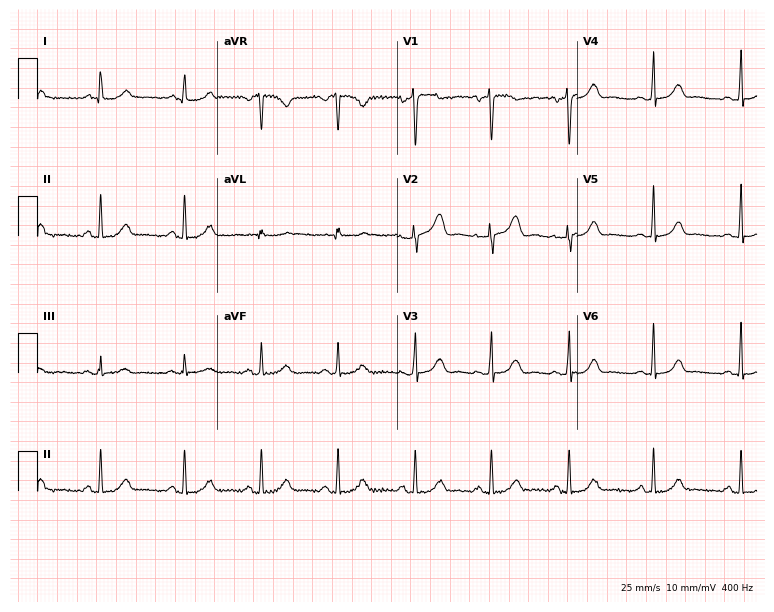
Electrocardiogram (7.3-second recording at 400 Hz), a female, 40 years old. Of the six screened findings (first-degree AV block, right bundle branch block, left bundle branch block, sinus bradycardia, atrial fibrillation, sinus tachycardia), none is recorded. Only these six findings were labelled.